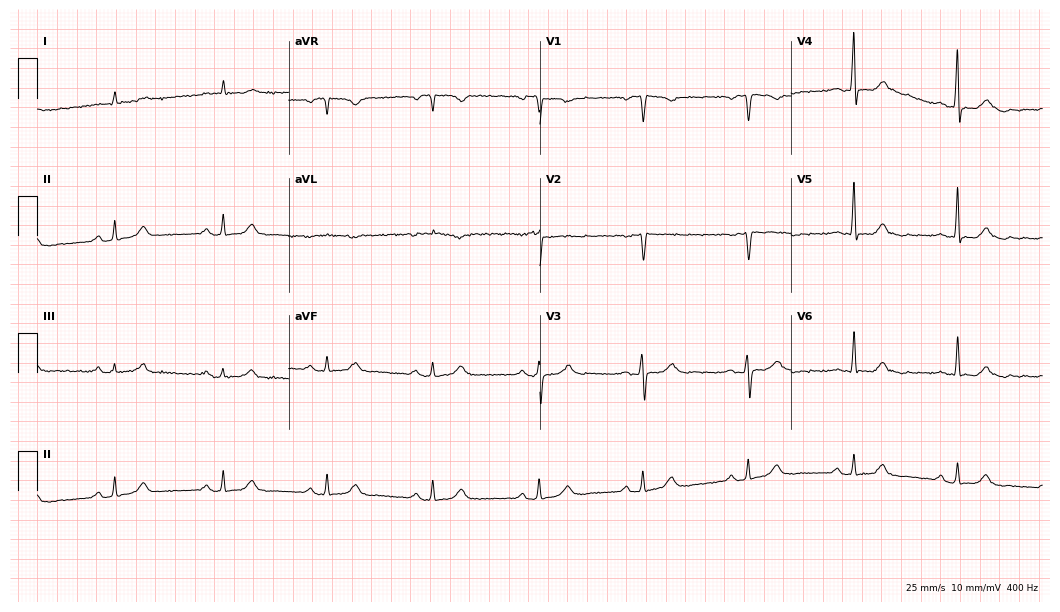
12-lead ECG from a man, 69 years old. No first-degree AV block, right bundle branch block (RBBB), left bundle branch block (LBBB), sinus bradycardia, atrial fibrillation (AF) or sinus tachycardia recorded for this tracing.